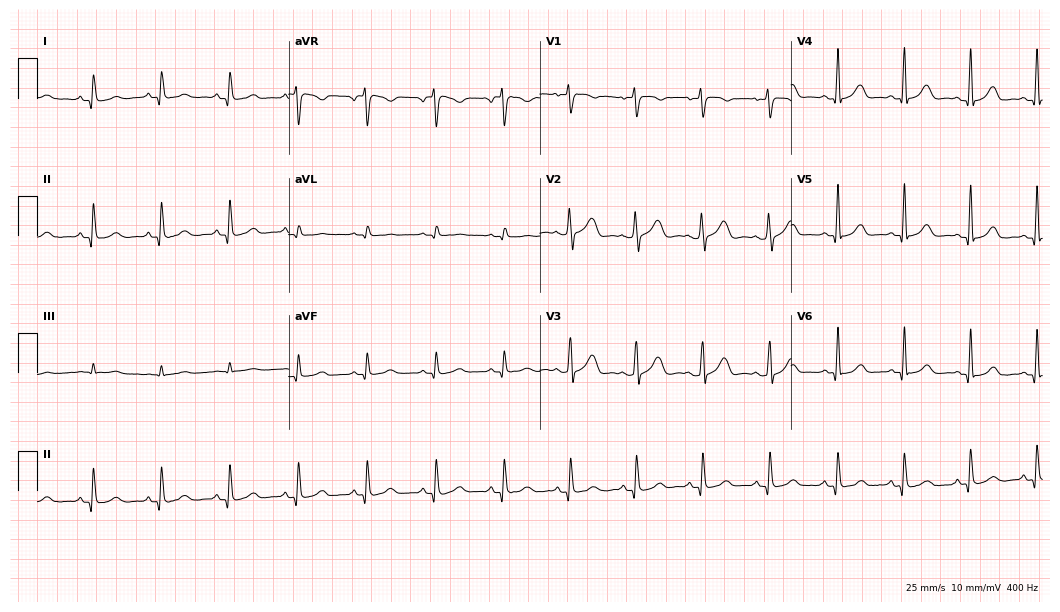
Resting 12-lead electrocardiogram. Patient: a female, 30 years old. Read as a normal ECG.